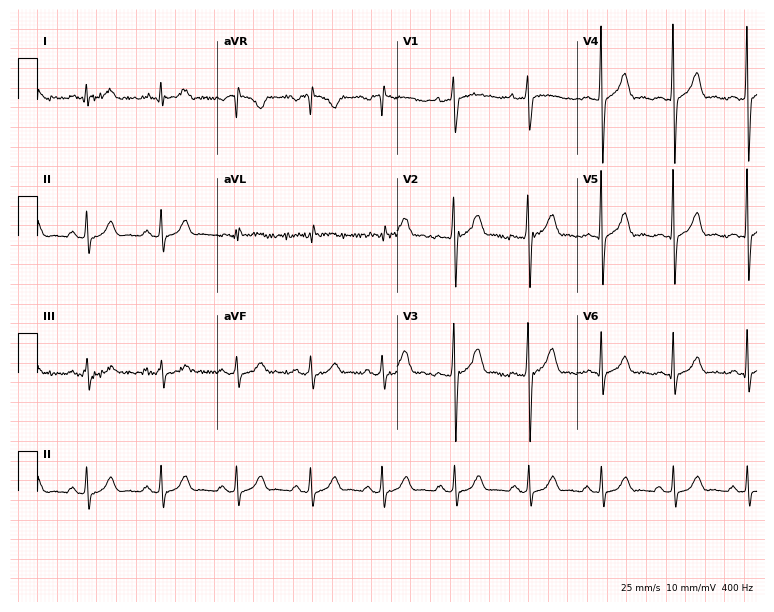
12-lead ECG (7.3-second recording at 400 Hz) from a male, 38 years old. Screened for six findings — first-degree AV block, right bundle branch block (RBBB), left bundle branch block (LBBB), sinus bradycardia, atrial fibrillation (AF), sinus tachycardia — none is recorded.